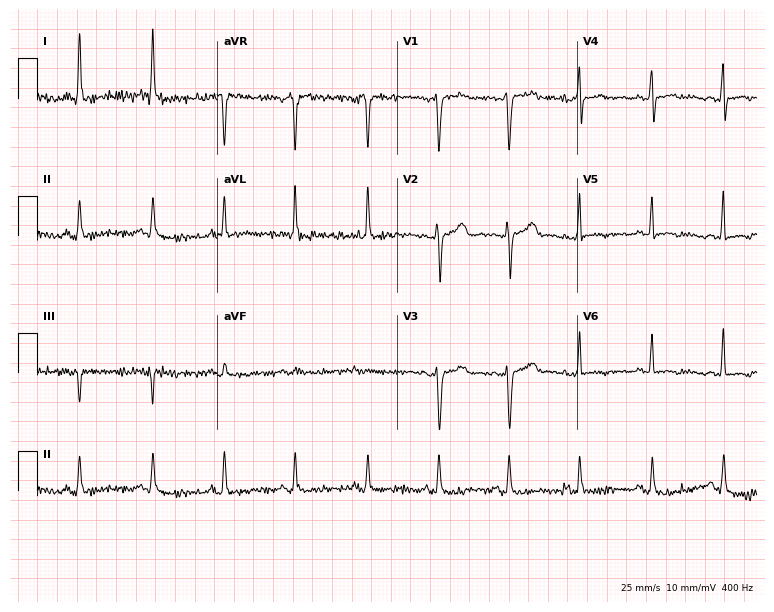
Standard 12-lead ECG recorded from a 52-year-old female (7.3-second recording at 400 Hz). None of these six findings is recorded: first-degree AV block, right bundle branch block, left bundle branch block, sinus bradycardia, atrial fibrillation, sinus tachycardia.